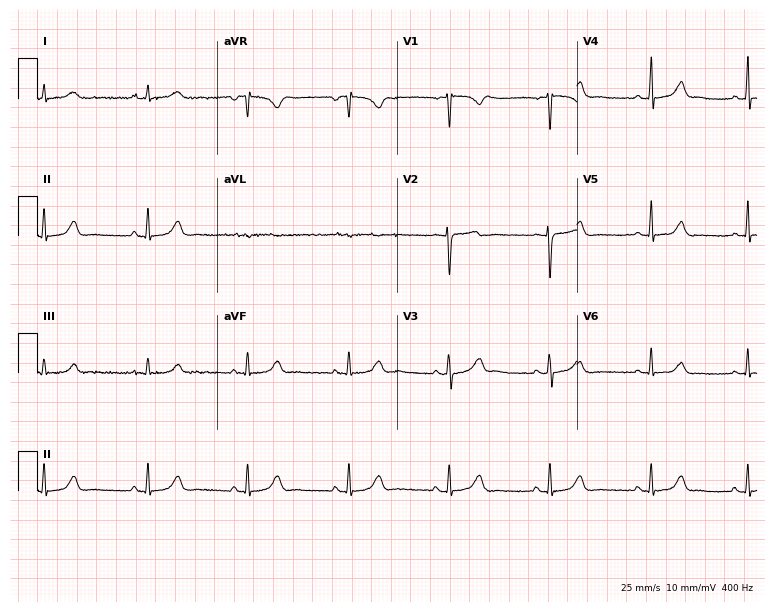
Resting 12-lead electrocardiogram (7.3-second recording at 400 Hz). Patient: a female, 40 years old. Read as a normal ECG.